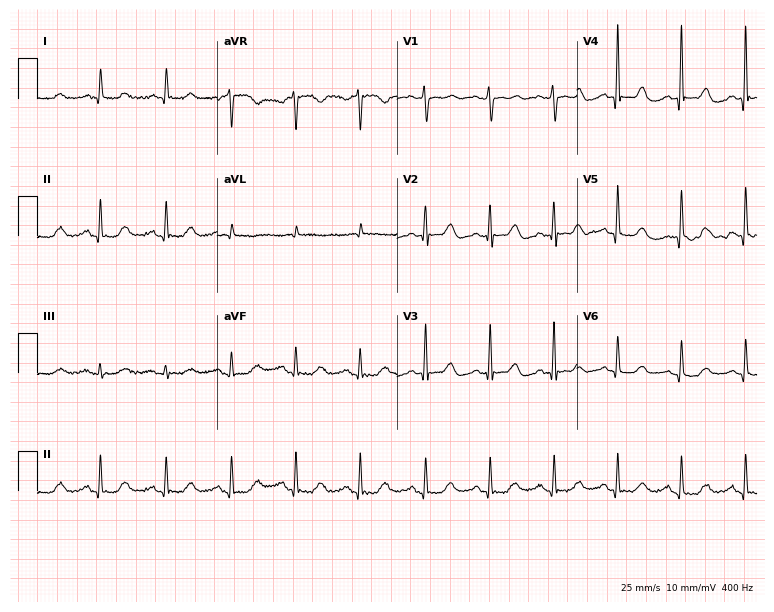
Electrocardiogram (7.3-second recording at 400 Hz), a woman, 83 years old. Overall reading on record: normal ECG.